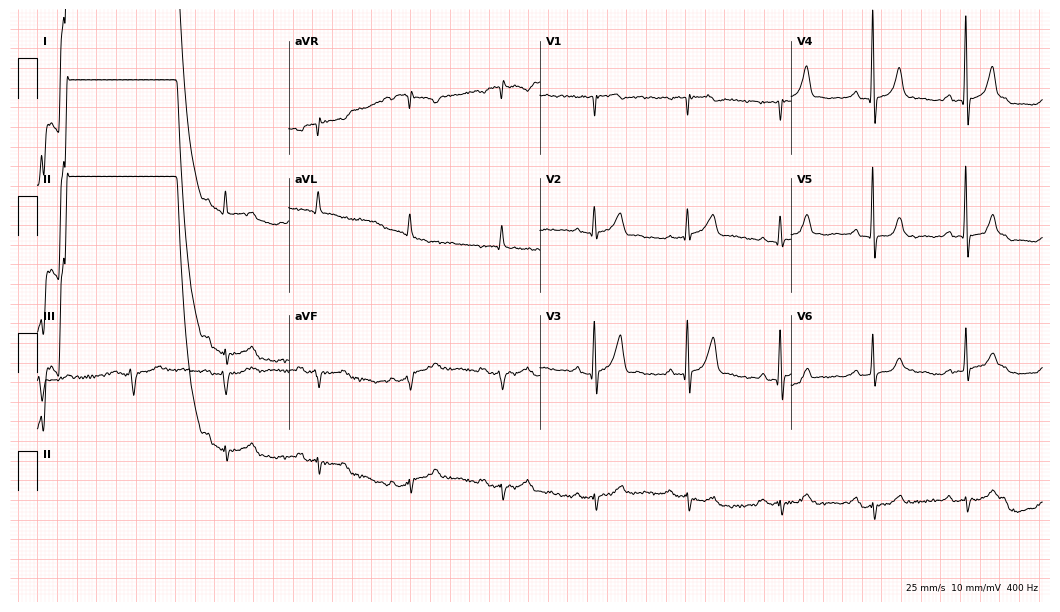
Standard 12-lead ECG recorded from a man, 79 years old. None of these six findings is recorded: first-degree AV block, right bundle branch block, left bundle branch block, sinus bradycardia, atrial fibrillation, sinus tachycardia. Only these six findings were labelled.